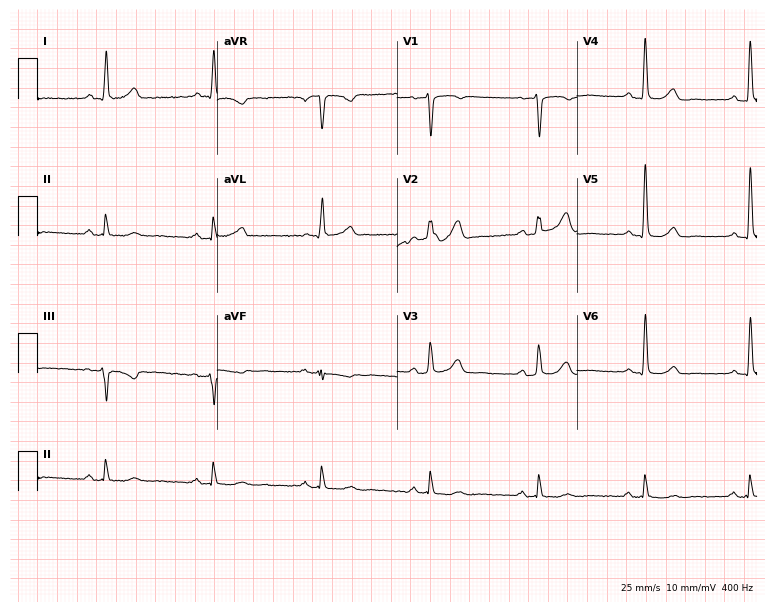
Standard 12-lead ECG recorded from a male patient, 65 years old (7.3-second recording at 400 Hz). None of these six findings is recorded: first-degree AV block, right bundle branch block (RBBB), left bundle branch block (LBBB), sinus bradycardia, atrial fibrillation (AF), sinus tachycardia. Other findings, if any, are not listed.